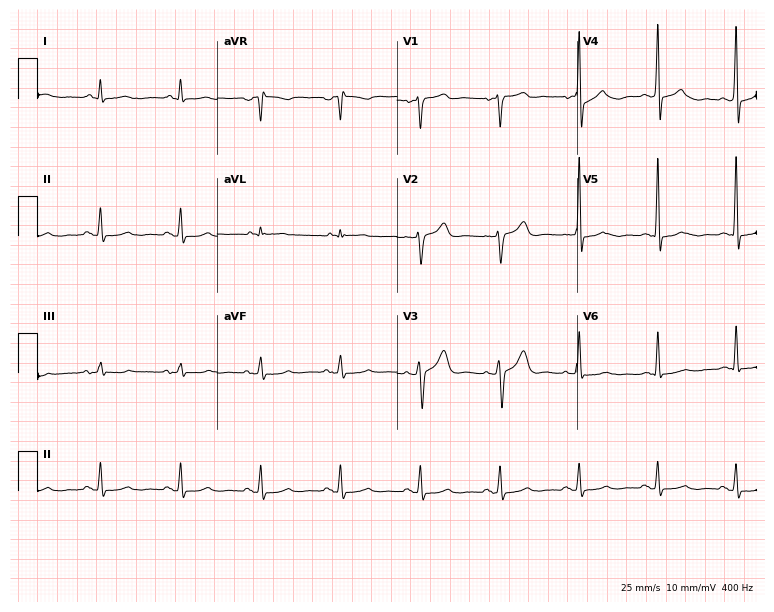
Electrocardiogram, a male, 51 years old. Of the six screened findings (first-degree AV block, right bundle branch block (RBBB), left bundle branch block (LBBB), sinus bradycardia, atrial fibrillation (AF), sinus tachycardia), none is recorded. Other findings, if any, are not listed.